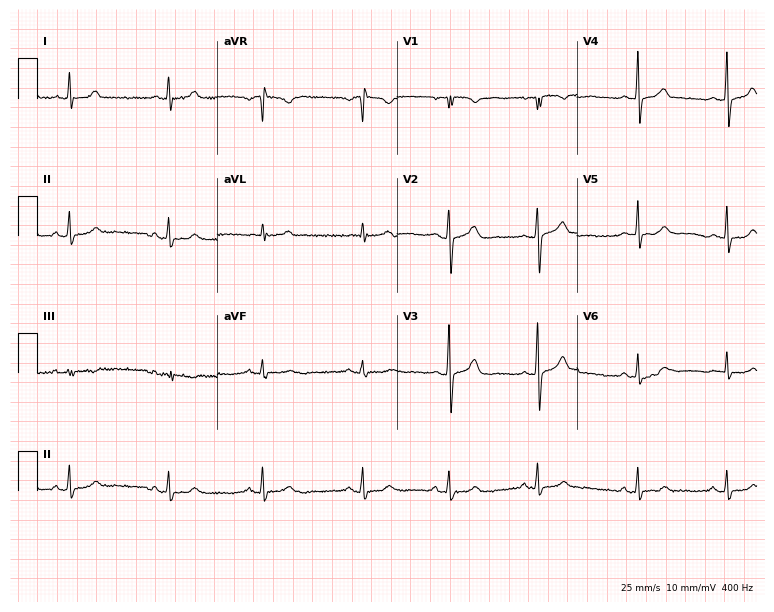
Resting 12-lead electrocardiogram. Patient: a female, 19 years old. None of these six findings is recorded: first-degree AV block, right bundle branch block, left bundle branch block, sinus bradycardia, atrial fibrillation, sinus tachycardia.